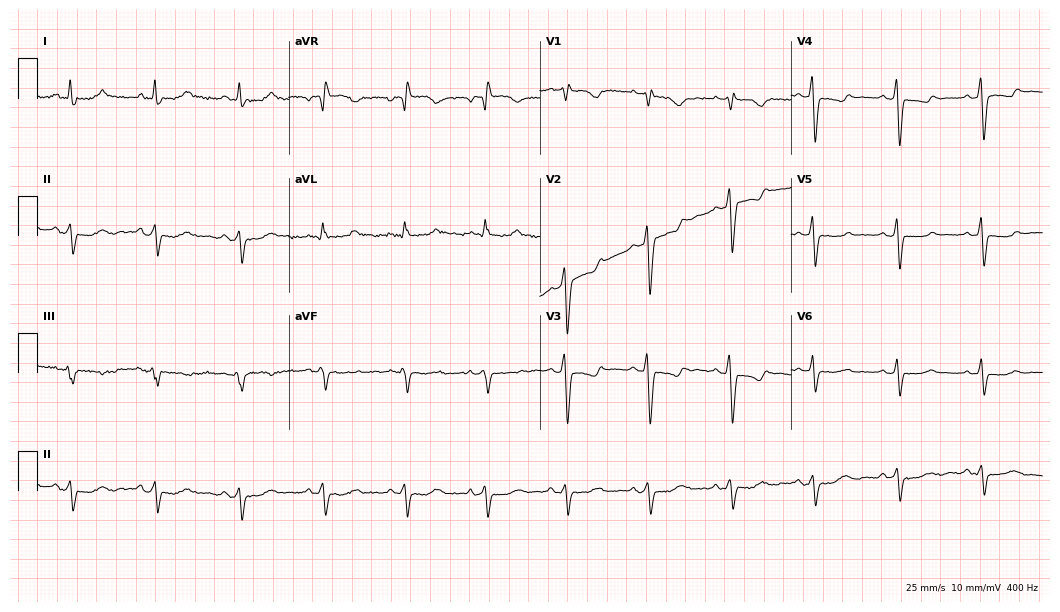
Standard 12-lead ECG recorded from a woman, 70 years old (10.2-second recording at 400 Hz). None of these six findings is recorded: first-degree AV block, right bundle branch block, left bundle branch block, sinus bradycardia, atrial fibrillation, sinus tachycardia.